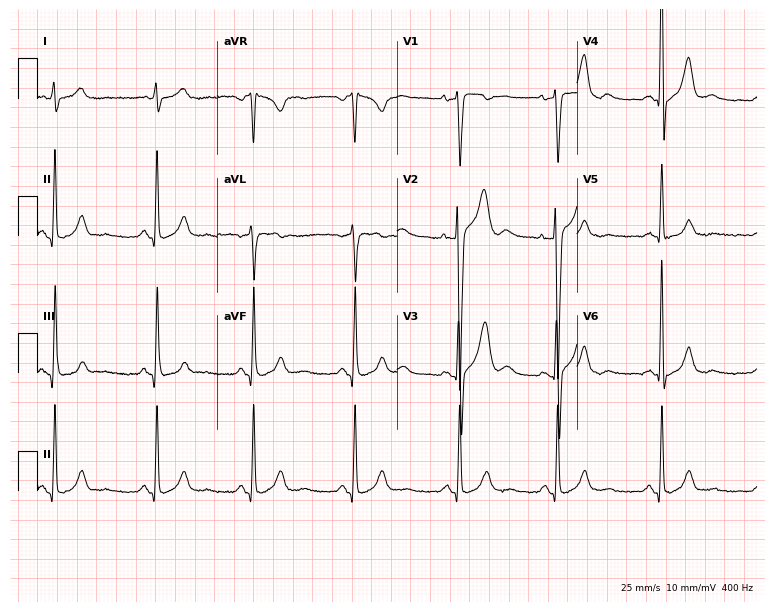
ECG — a male, 38 years old. Labelled as a normal ECG.